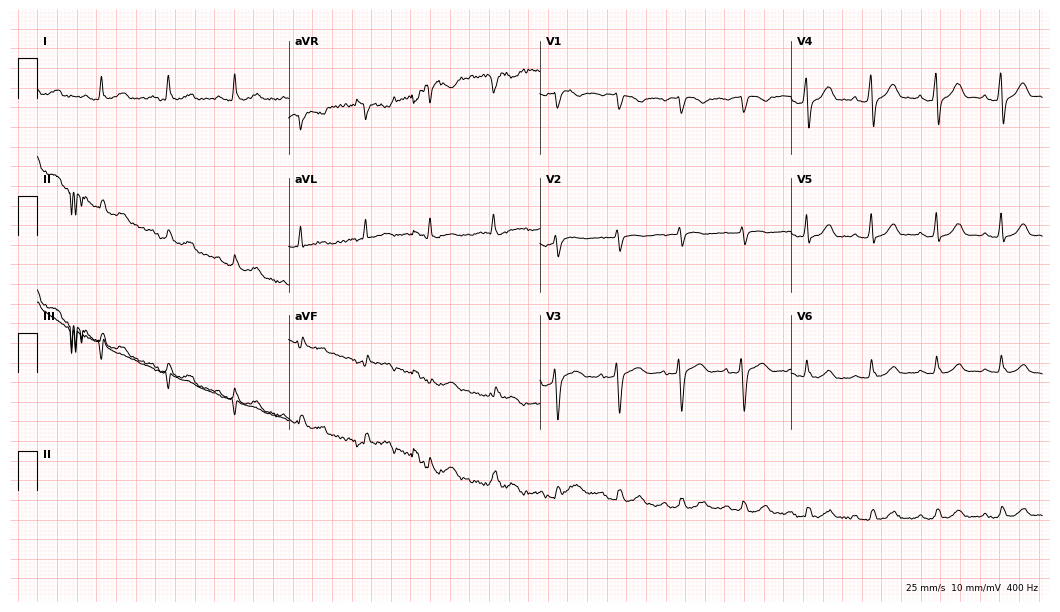
12-lead ECG (10.2-second recording at 400 Hz) from a 52-year-old male. Screened for six findings — first-degree AV block, right bundle branch block, left bundle branch block, sinus bradycardia, atrial fibrillation, sinus tachycardia — none is recorded. Other findings, if any, are not listed.